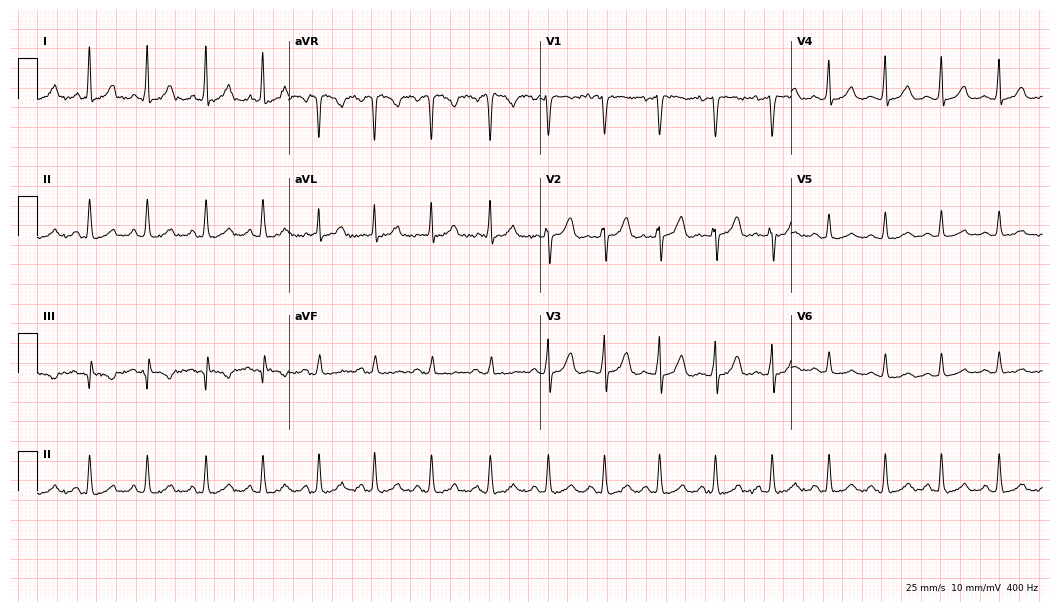
ECG — a 33-year-old woman. Findings include sinus tachycardia (a sinus rate of 100 beats per minute or more).